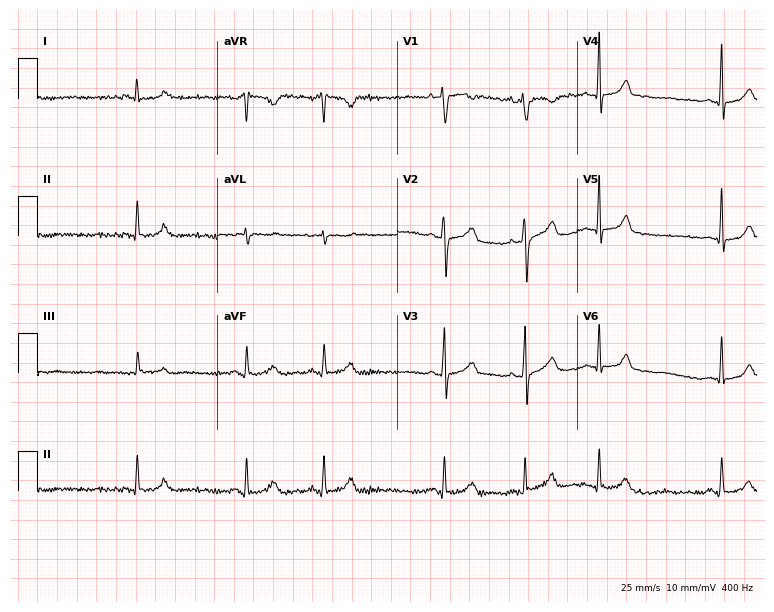
Resting 12-lead electrocardiogram (7.3-second recording at 400 Hz). Patient: a woman, 25 years old. None of these six findings is recorded: first-degree AV block, right bundle branch block, left bundle branch block, sinus bradycardia, atrial fibrillation, sinus tachycardia.